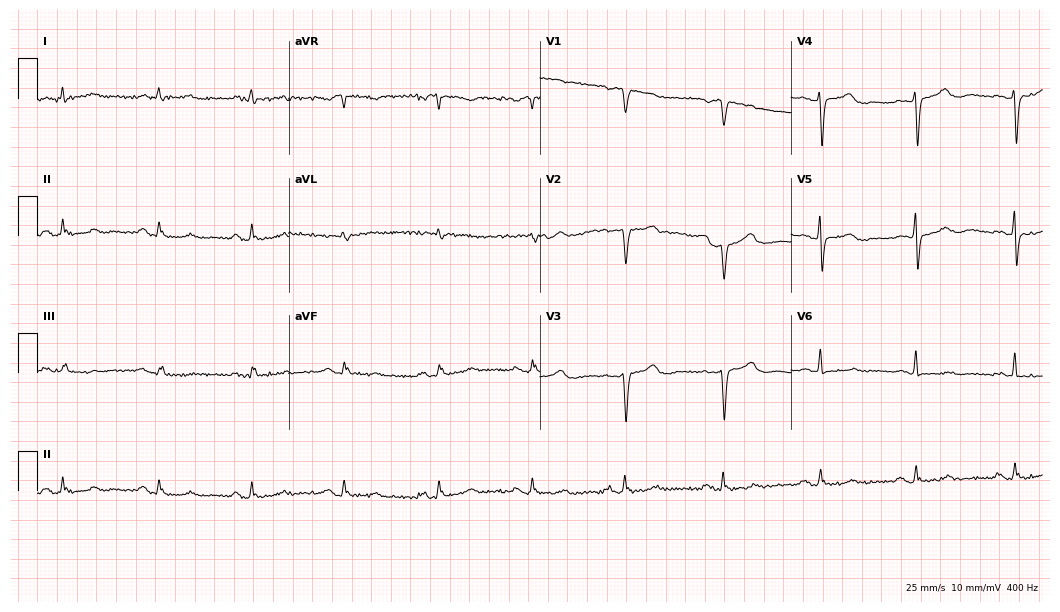
12-lead ECG from an 80-year-old female (10.2-second recording at 400 Hz). No first-degree AV block, right bundle branch block (RBBB), left bundle branch block (LBBB), sinus bradycardia, atrial fibrillation (AF) or sinus tachycardia recorded for this tracing. Findings outside these six are not listed.